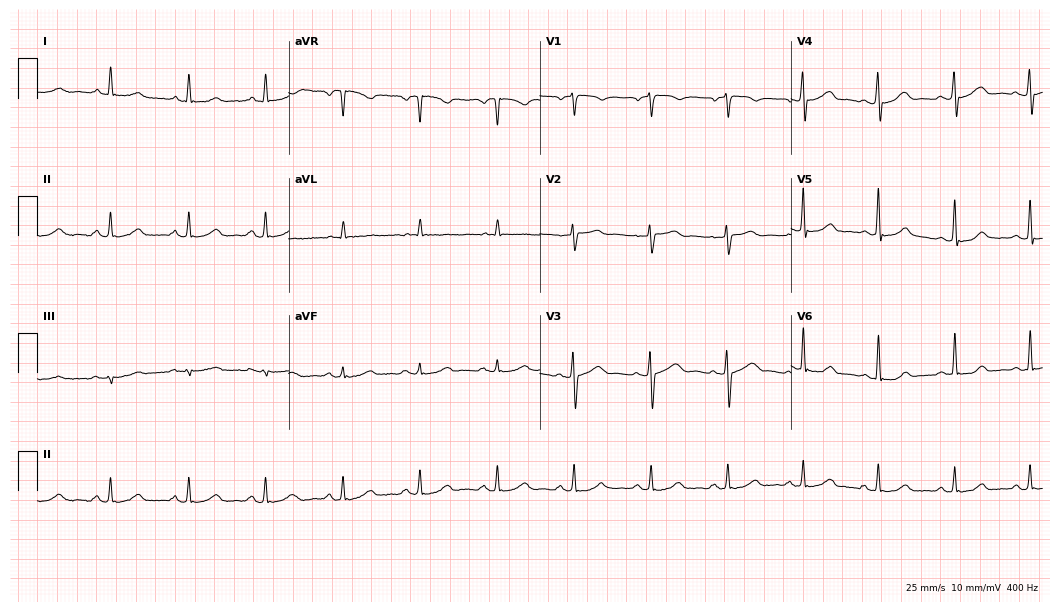
Electrocardiogram, a 57-year-old female. Overall reading on record: normal ECG.